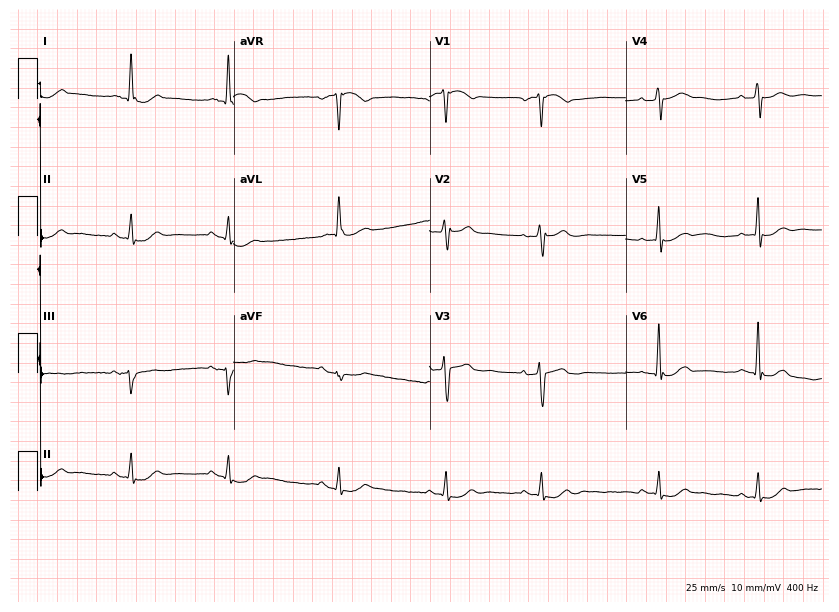
Resting 12-lead electrocardiogram (8-second recording at 400 Hz). Patient: a male, 80 years old. None of these six findings is recorded: first-degree AV block, right bundle branch block (RBBB), left bundle branch block (LBBB), sinus bradycardia, atrial fibrillation (AF), sinus tachycardia. Other findings, if any, are not listed.